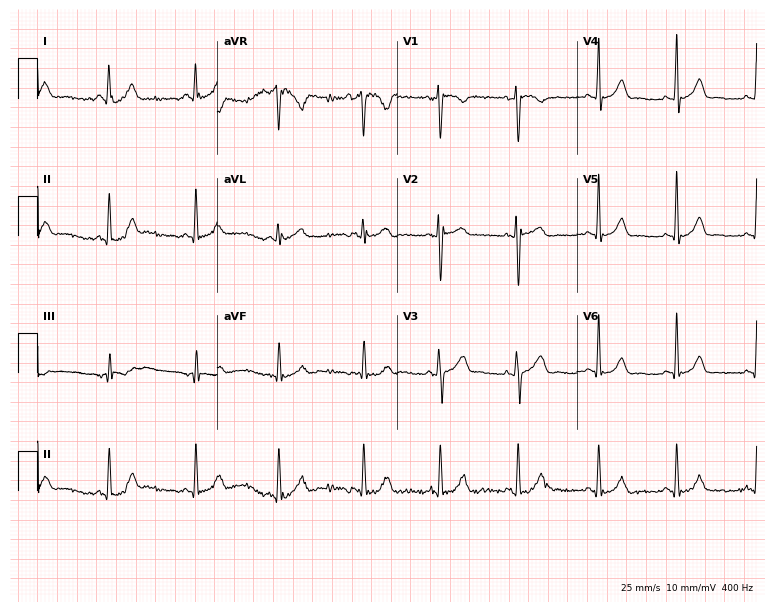
Standard 12-lead ECG recorded from a 26-year-old female patient (7.3-second recording at 400 Hz). Read as a normal ECG.